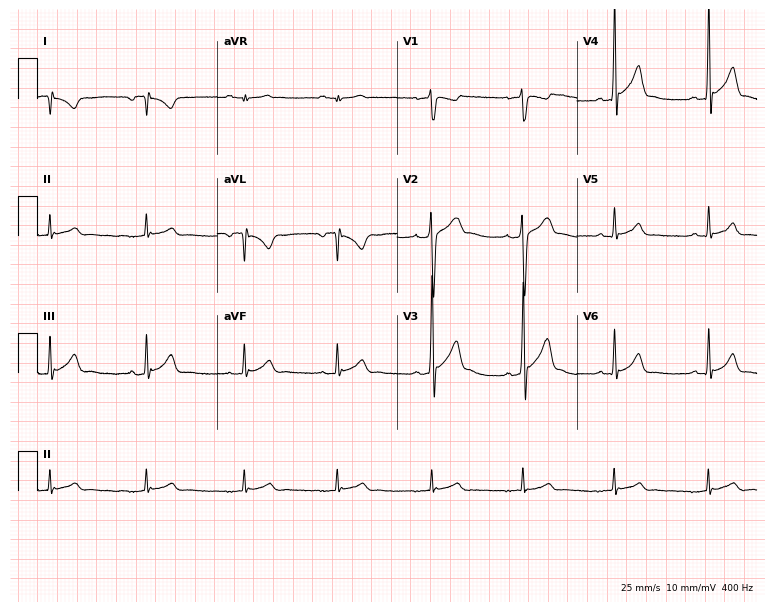
Electrocardiogram (7.3-second recording at 400 Hz), a 17-year-old man. Of the six screened findings (first-degree AV block, right bundle branch block, left bundle branch block, sinus bradycardia, atrial fibrillation, sinus tachycardia), none is recorded. Findings outside these six are not listed.